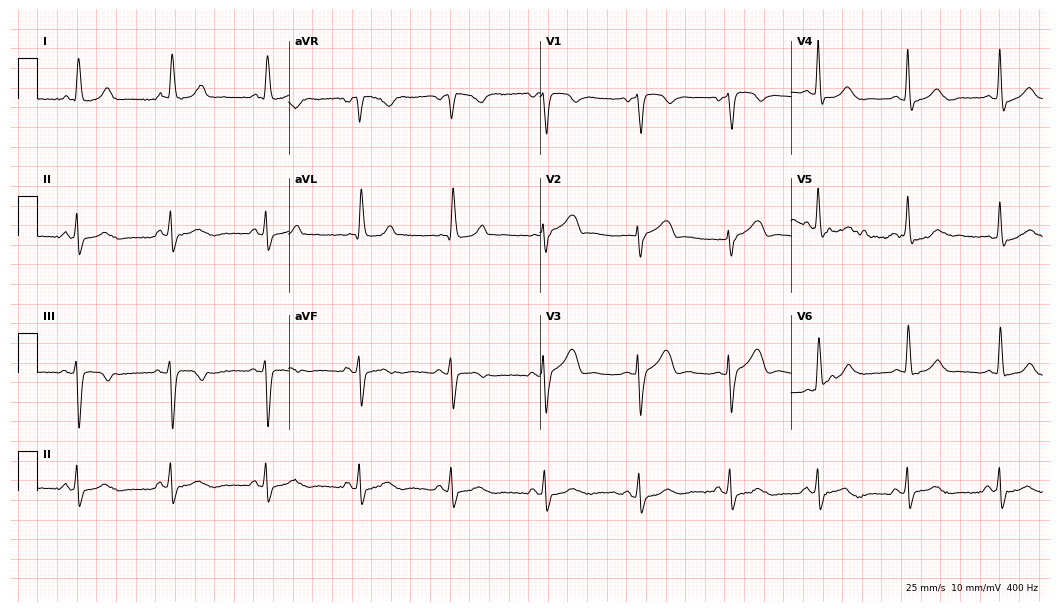
Standard 12-lead ECG recorded from a woman, 83 years old. None of these six findings is recorded: first-degree AV block, right bundle branch block (RBBB), left bundle branch block (LBBB), sinus bradycardia, atrial fibrillation (AF), sinus tachycardia.